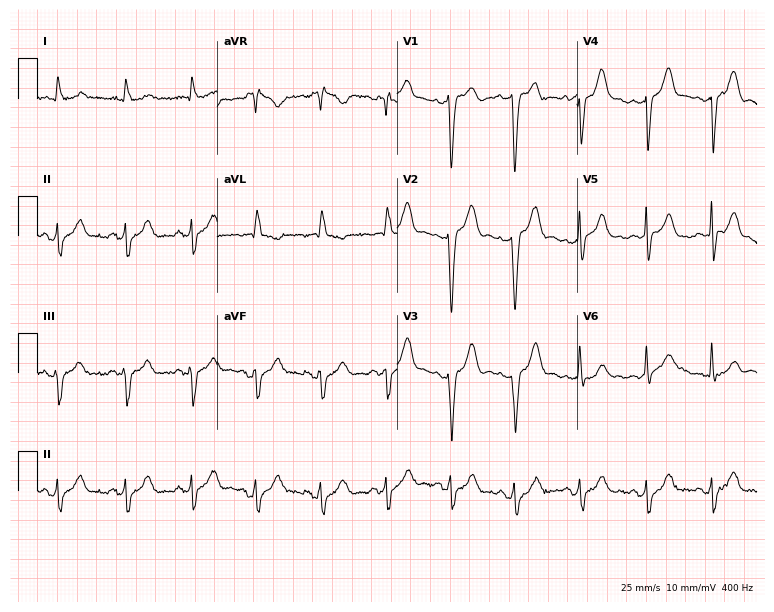
Resting 12-lead electrocardiogram (7.3-second recording at 400 Hz). Patient: a 78-year-old man. None of these six findings is recorded: first-degree AV block, right bundle branch block, left bundle branch block, sinus bradycardia, atrial fibrillation, sinus tachycardia.